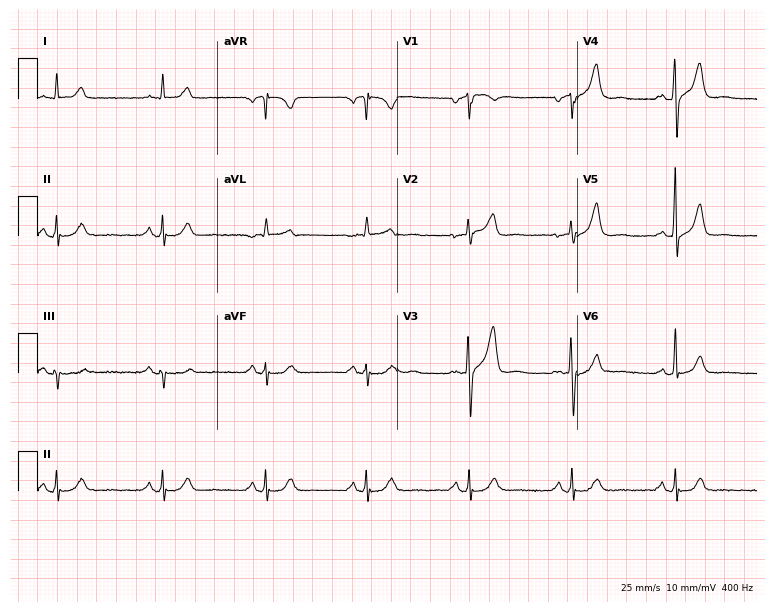
Resting 12-lead electrocardiogram. Patient: a man, 74 years old. None of these six findings is recorded: first-degree AV block, right bundle branch block (RBBB), left bundle branch block (LBBB), sinus bradycardia, atrial fibrillation (AF), sinus tachycardia. Other findings, if any, are not listed.